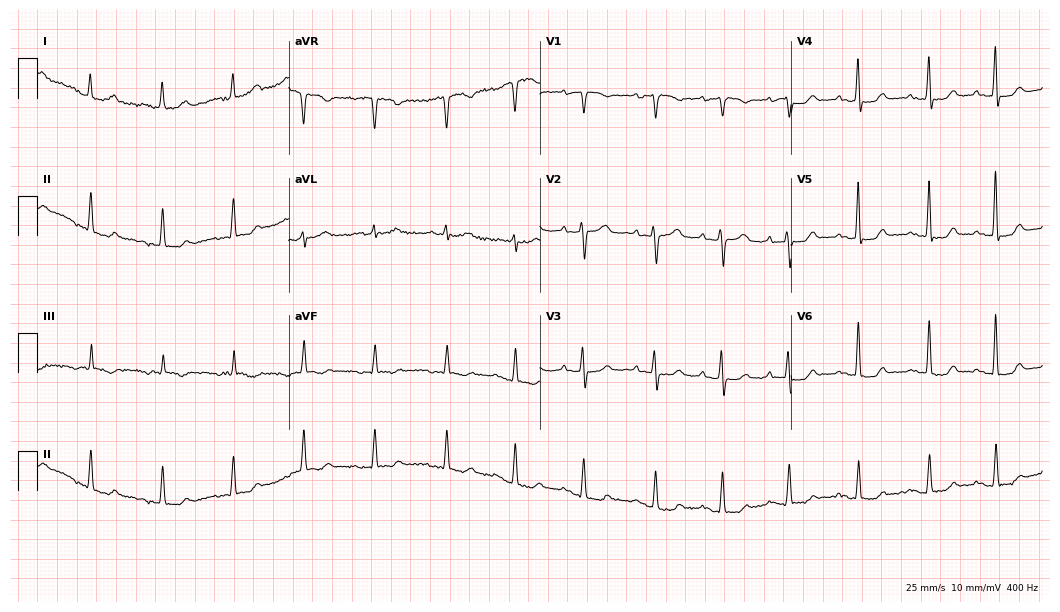
Resting 12-lead electrocardiogram (10.2-second recording at 400 Hz). Patient: a woman, 83 years old. Read as a normal ECG.